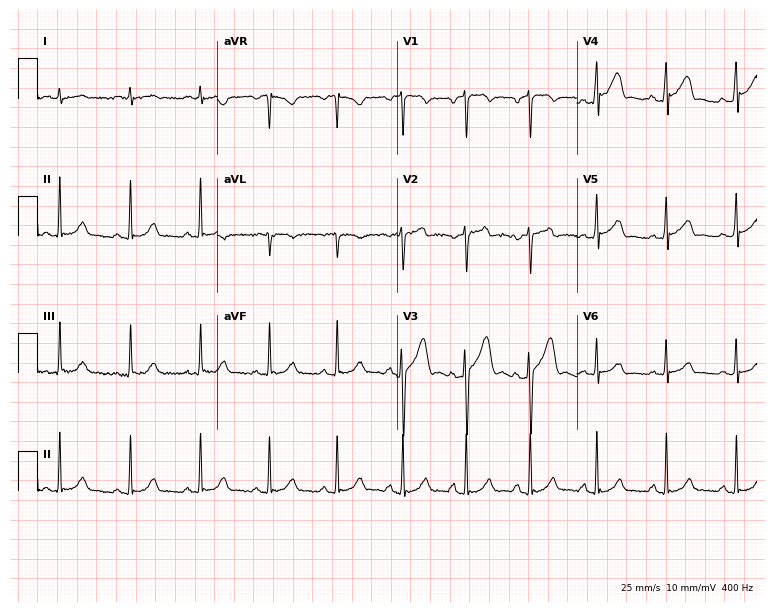
12-lead ECG from a male, 30 years old (7.3-second recording at 400 Hz). Recorded interpretation: within normal limits.